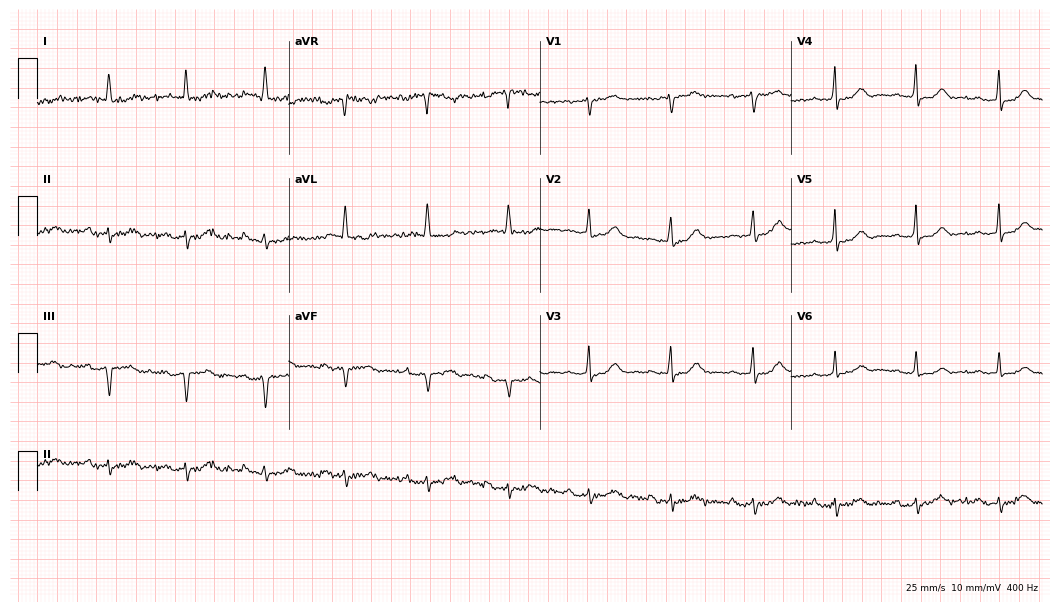
Standard 12-lead ECG recorded from a 62-year-old female patient (10.2-second recording at 400 Hz). None of these six findings is recorded: first-degree AV block, right bundle branch block, left bundle branch block, sinus bradycardia, atrial fibrillation, sinus tachycardia.